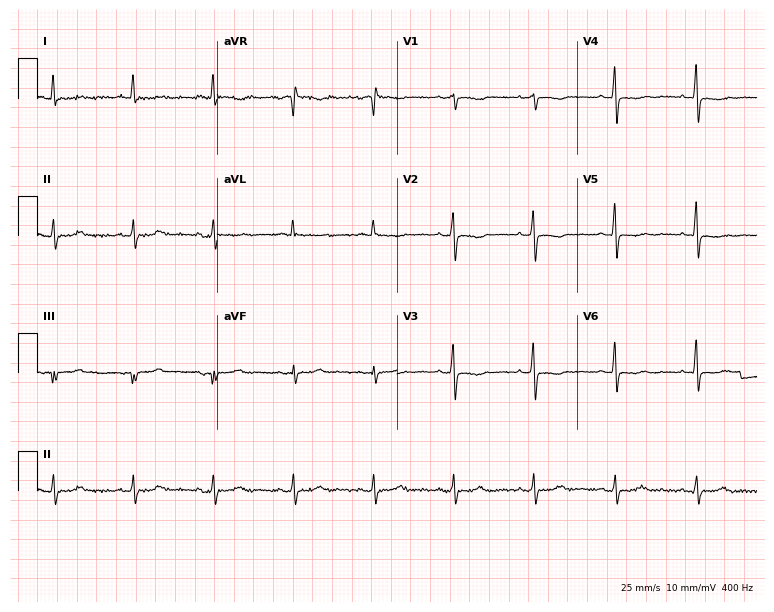
Electrocardiogram, a 76-year-old female. Of the six screened findings (first-degree AV block, right bundle branch block, left bundle branch block, sinus bradycardia, atrial fibrillation, sinus tachycardia), none is recorded. Only these six findings were labelled.